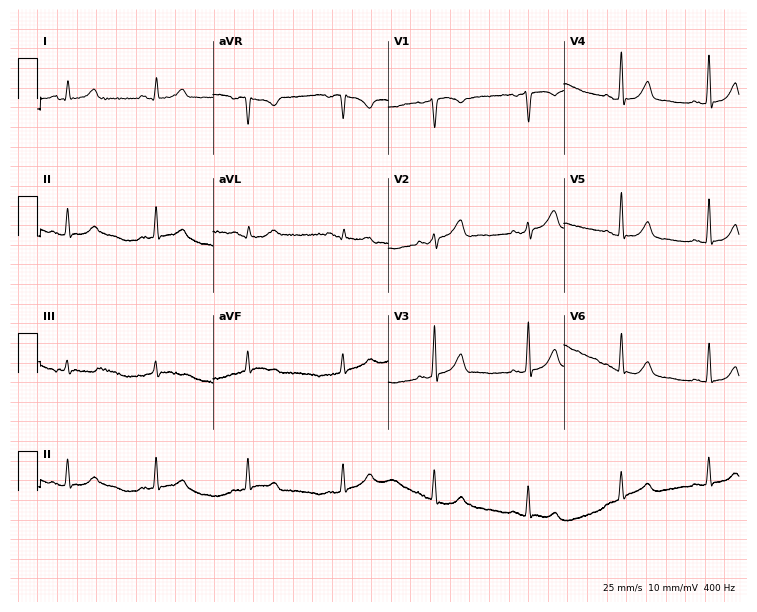
Standard 12-lead ECG recorded from a 33-year-old female patient (7.2-second recording at 400 Hz). None of these six findings is recorded: first-degree AV block, right bundle branch block (RBBB), left bundle branch block (LBBB), sinus bradycardia, atrial fibrillation (AF), sinus tachycardia.